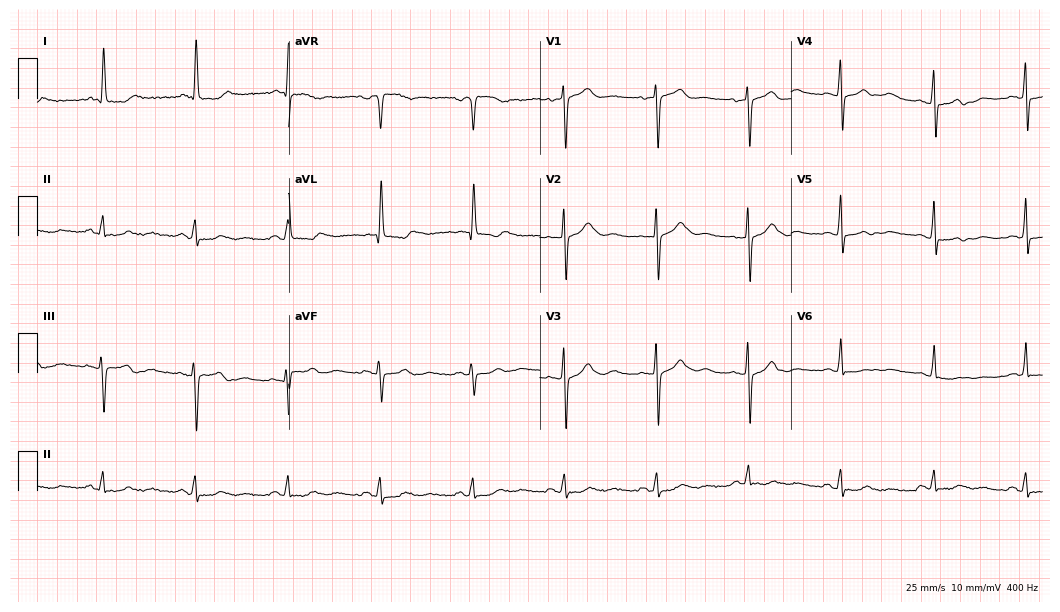
ECG — a female, 71 years old. Screened for six findings — first-degree AV block, right bundle branch block, left bundle branch block, sinus bradycardia, atrial fibrillation, sinus tachycardia — none is recorded. Other findings, if any, are not listed.